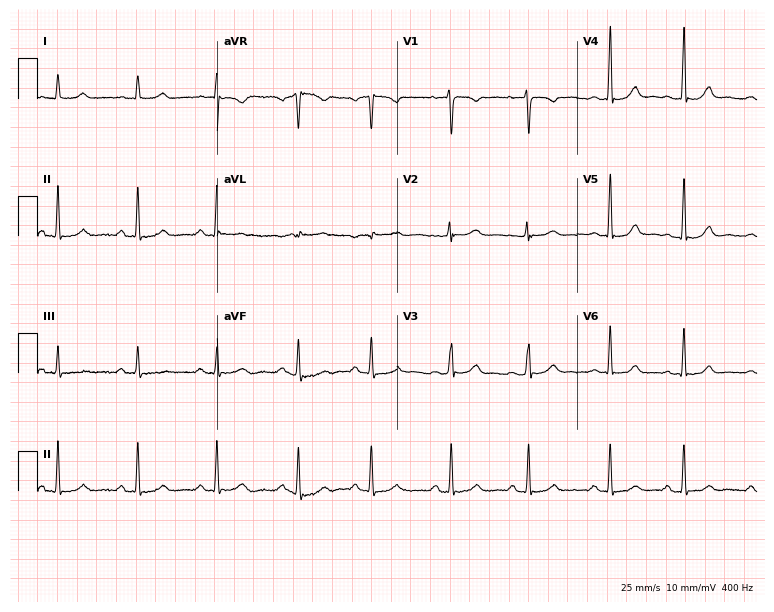
12-lead ECG from a 31-year-old female patient (7.3-second recording at 400 Hz). Recorded interpretation: within normal limits.